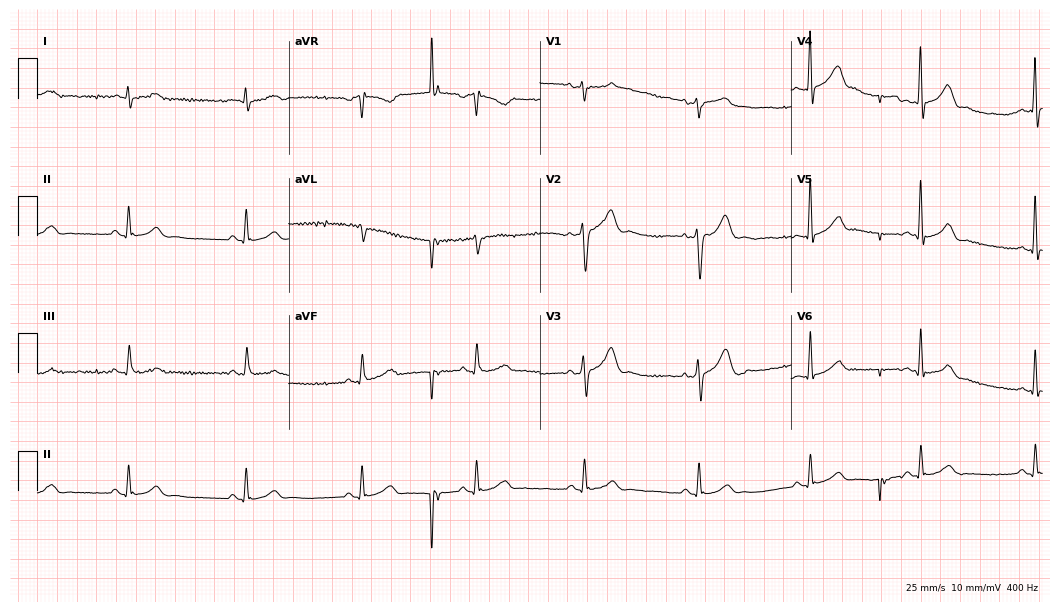
12-lead ECG (10.2-second recording at 400 Hz) from a man, 55 years old. Labelled as a normal ECG.